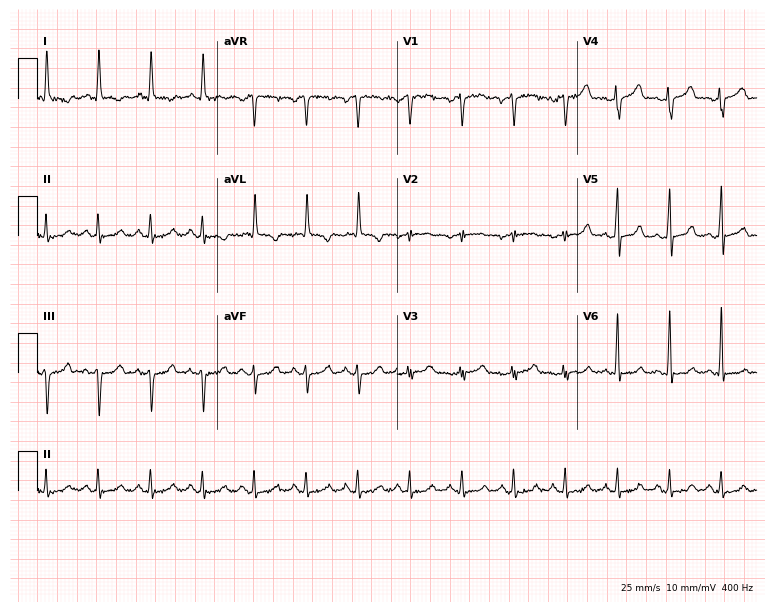
12-lead ECG (7.3-second recording at 400 Hz) from a 76-year-old female. Findings include sinus tachycardia (a sinus rate of 100 beats per minute or more).